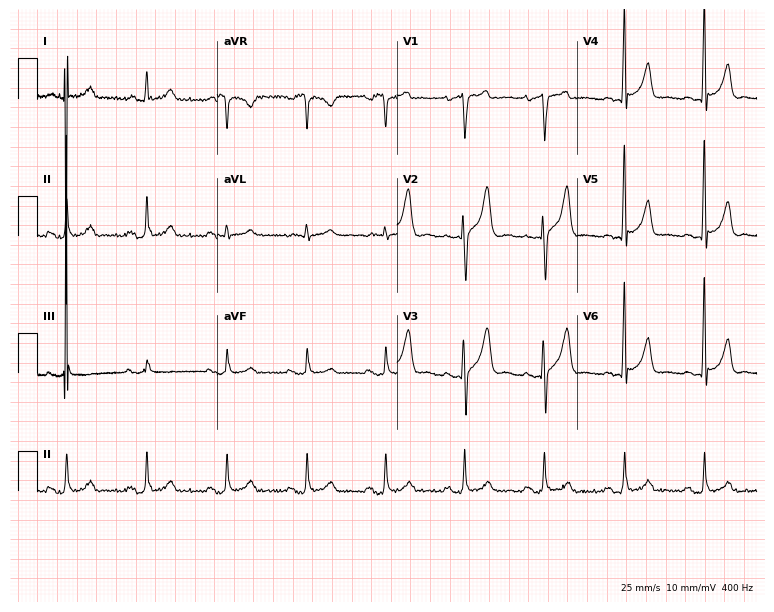
12-lead ECG (7.3-second recording at 400 Hz) from a man, 47 years old. Screened for six findings — first-degree AV block, right bundle branch block, left bundle branch block, sinus bradycardia, atrial fibrillation, sinus tachycardia — none is recorded. Other findings, if any, are not listed.